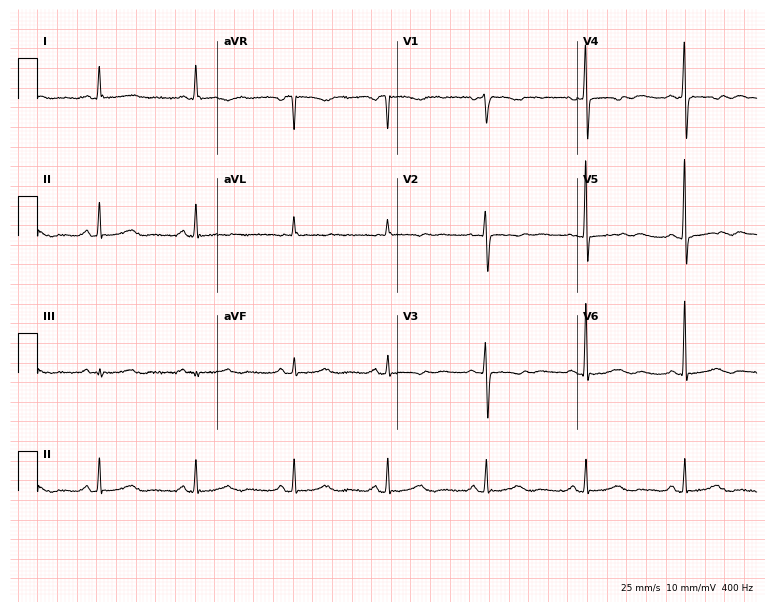
Standard 12-lead ECG recorded from a 58-year-old female patient (7.3-second recording at 400 Hz). None of these six findings is recorded: first-degree AV block, right bundle branch block (RBBB), left bundle branch block (LBBB), sinus bradycardia, atrial fibrillation (AF), sinus tachycardia.